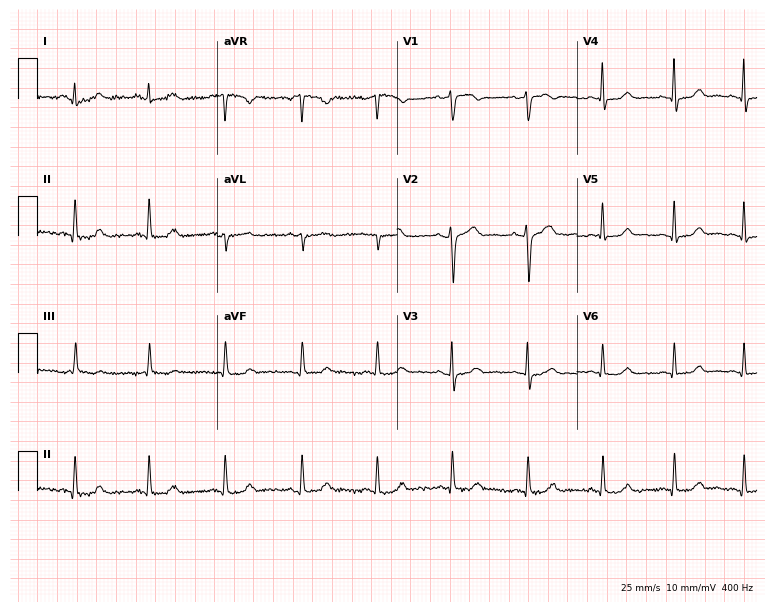
12-lead ECG (7.3-second recording at 400 Hz) from a 43-year-old woman. Labelled as a normal ECG.